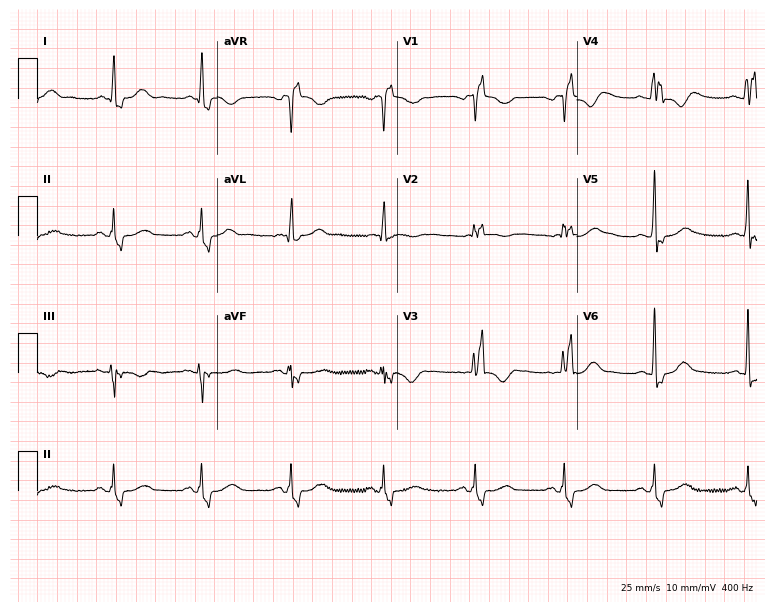
Electrocardiogram, a woman, 62 years old. Interpretation includes right bundle branch block (RBBB).